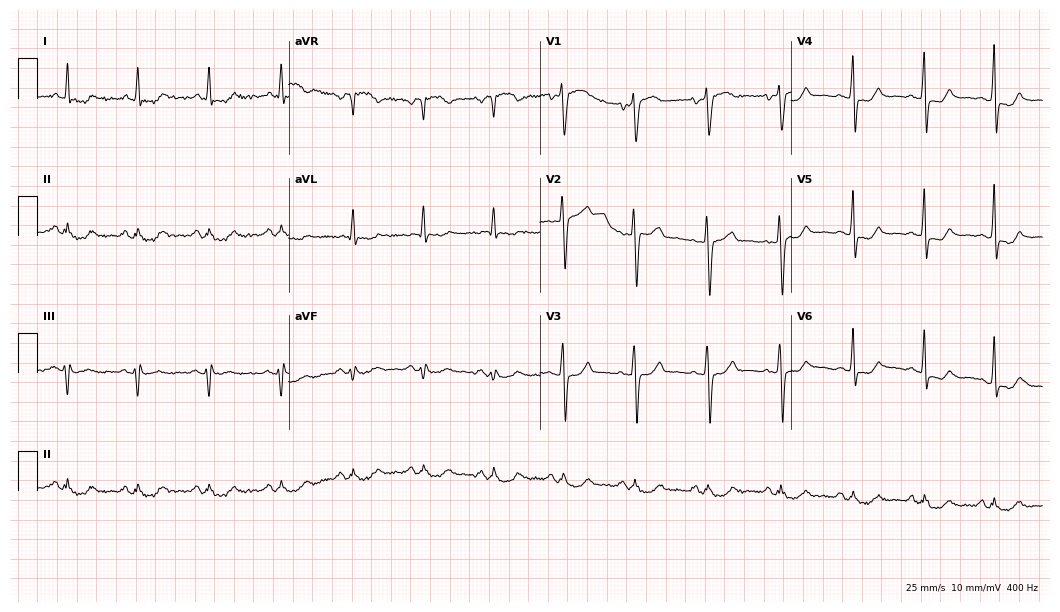
12-lead ECG (10.2-second recording at 400 Hz) from a female patient, 60 years old. Screened for six findings — first-degree AV block, right bundle branch block (RBBB), left bundle branch block (LBBB), sinus bradycardia, atrial fibrillation (AF), sinus tachycardia — none is recorded. Only these six findings were labelled.